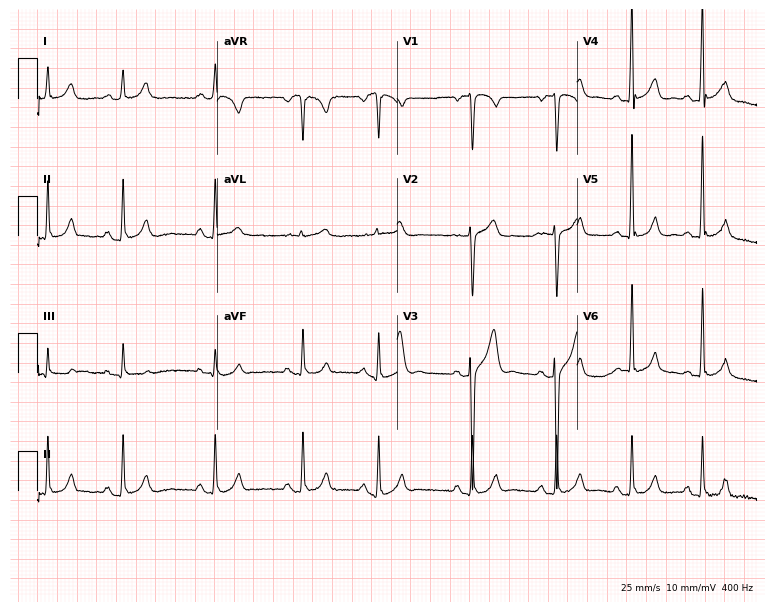
12-lead ECG from a male, 20 years old (7.3-second recording at 400 Hz). No first-degree AV block, right bundle branch block, left bundle branch block, sinus bradycardia, atrial fibrillation or sinus tachycardia recorded for this tracing.